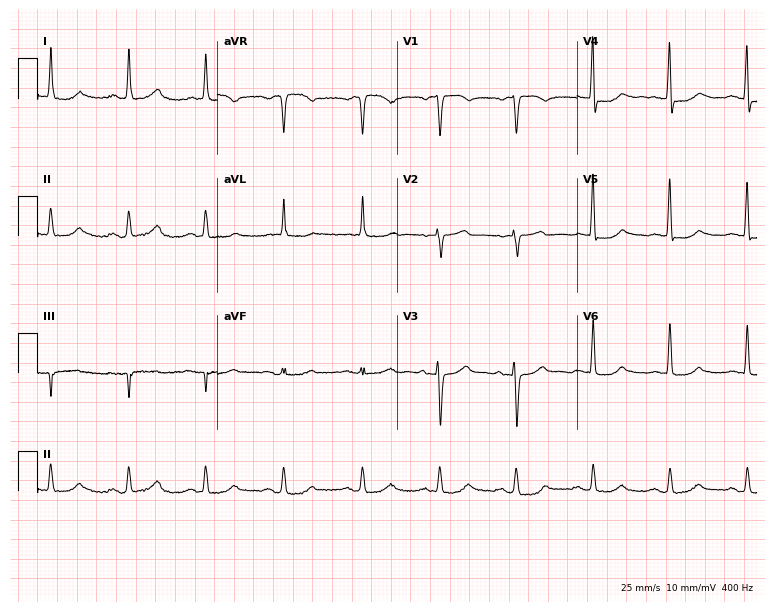
12-lead ECG (7.3-second recording at 400 Hz) from a 65-year-old woman. Screened for six findings — first-degree AV block, right bundle branch block, left bundle branch block, sinus bradycardia, atrial fibrillation, sinus tachycardia — none is recorded. Other findings, if any, are not listed.